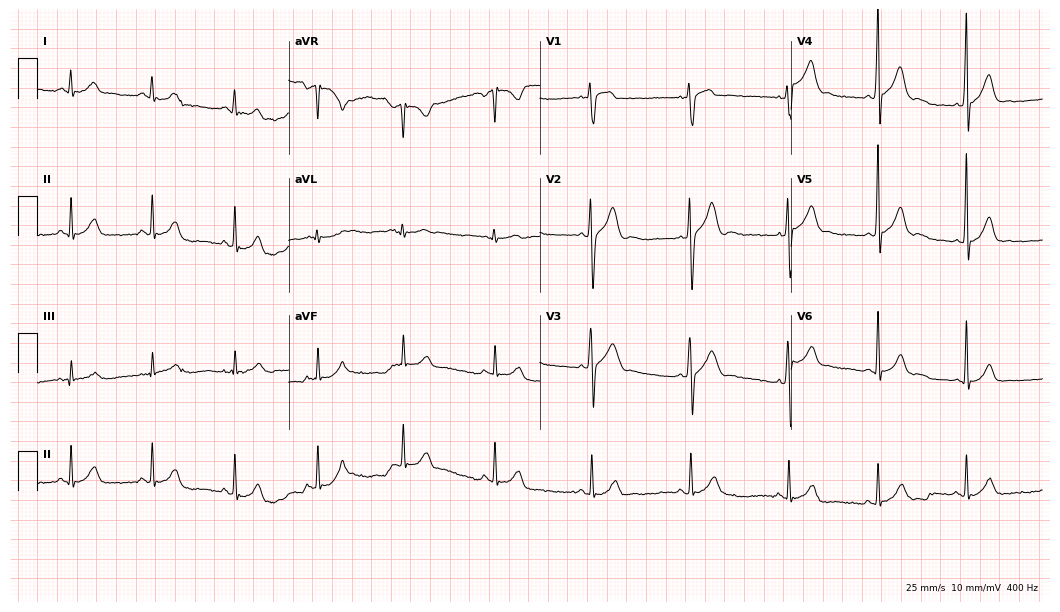
Standard 12-lead ECG recorded from a 24-year-old man (10.2-second recording at 400 Hz). Read as a normal ECG.